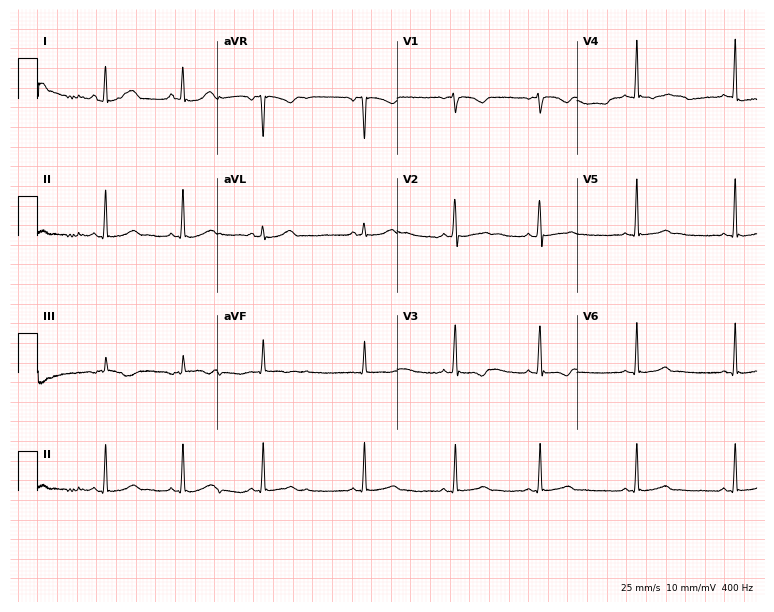
ECG — a woman, 17 years old. Labelled as a normal ECG.